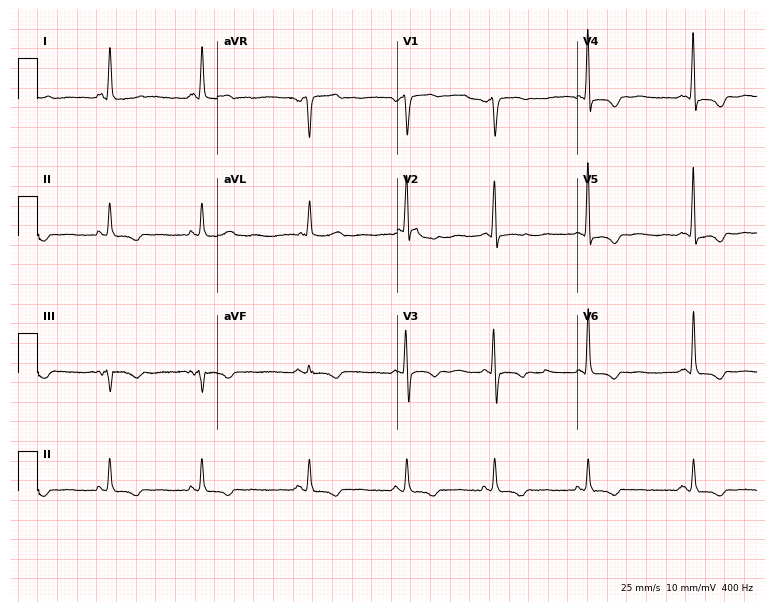
12-lead ECG (7.3-second recording at 400 Hz) from a female patient, 74 years old. Screened for six findings — first-degree AV block, right bundle branch block, left bundle branch block, sinus bradycardia, atrial fibrillation, sinus tachycardia — none is recorded. Other findings, if any, are not listed.